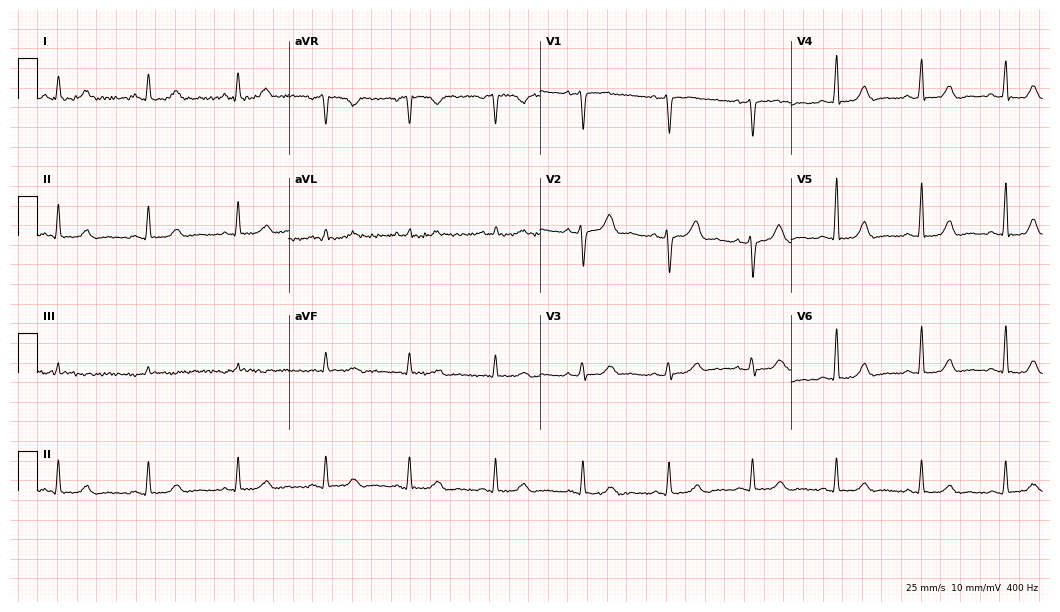
12-lead ECG (10.2-second recording at 400 Hz) from a woman, 42 years old. Labelled as a normal ECG.